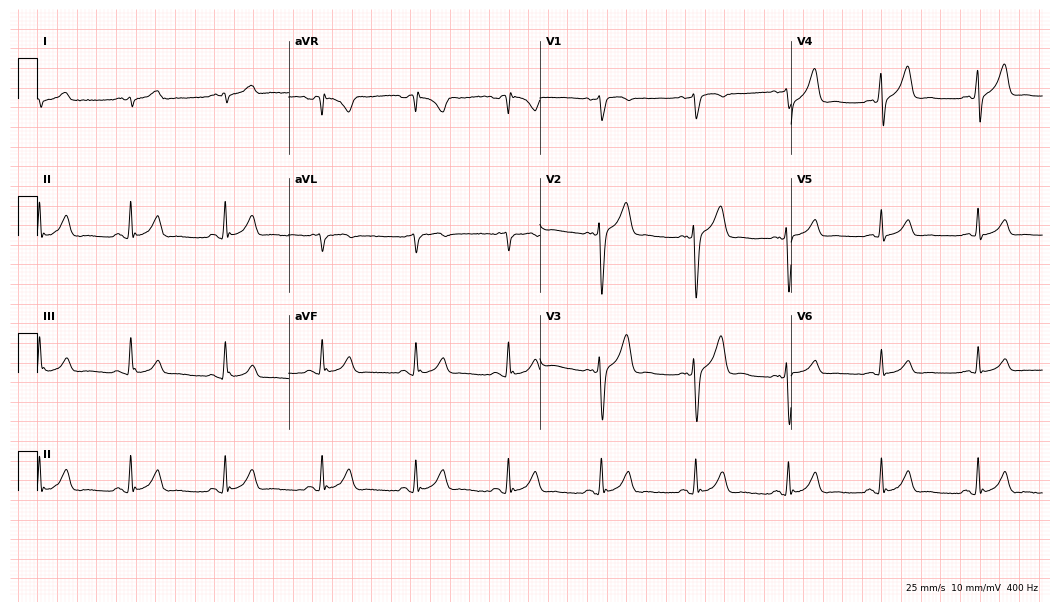
12-lead ECG from a male patient, 34 years old. Recorded interpretation: within normal limits.